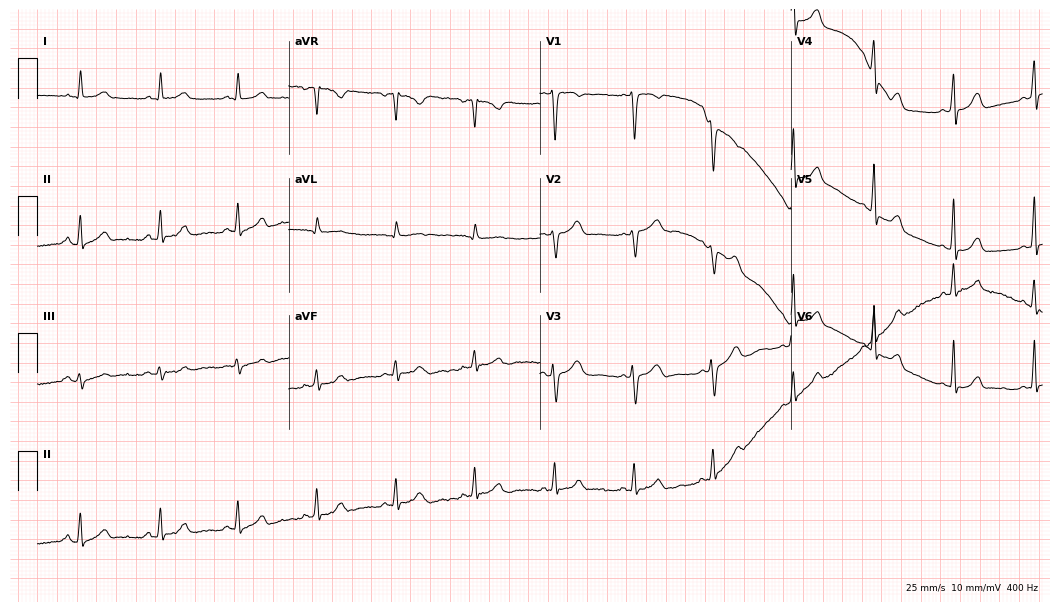
Resting 12-lead electrocardiogram (10.2-second recording at 400 Hz). Patient: a 50-year-old female. Read as a normal ECG.